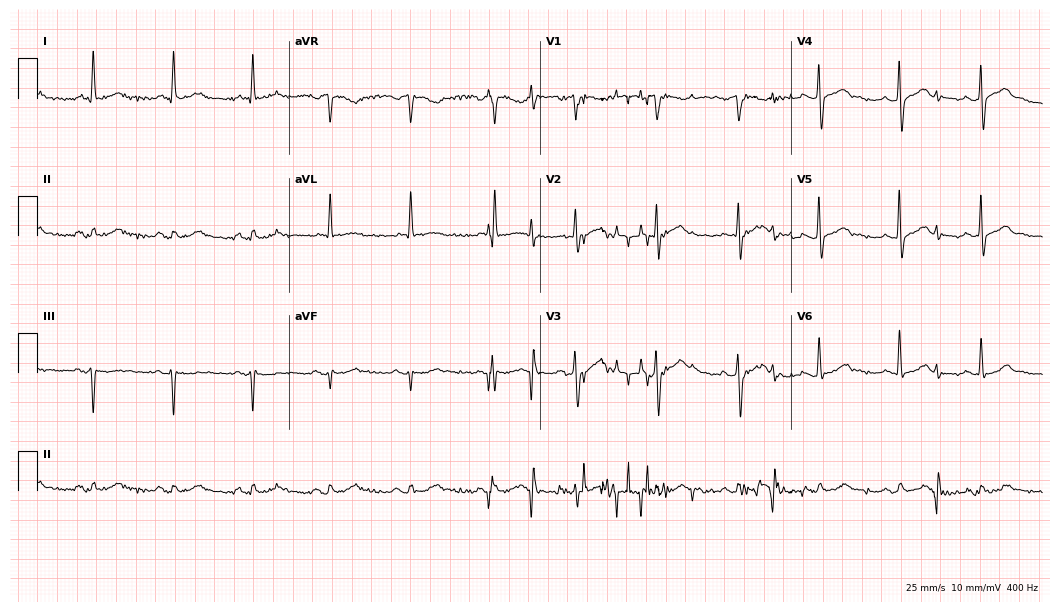
12-lead ECG from a man, 70 years old. Recorded interpretation: within normal limits.